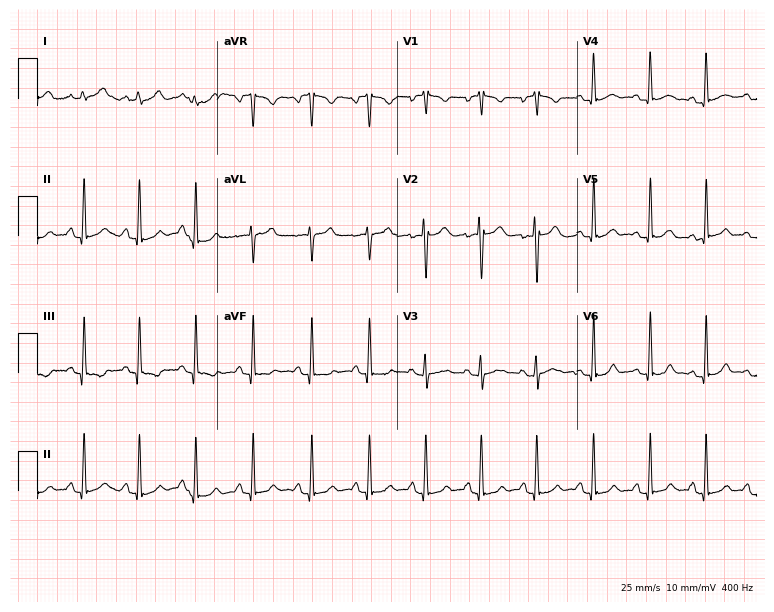
12-lead ECG from a female patient, 34 years old. Findings include sinus tachycardia (a sinus rate of 100 beats per minute or more).